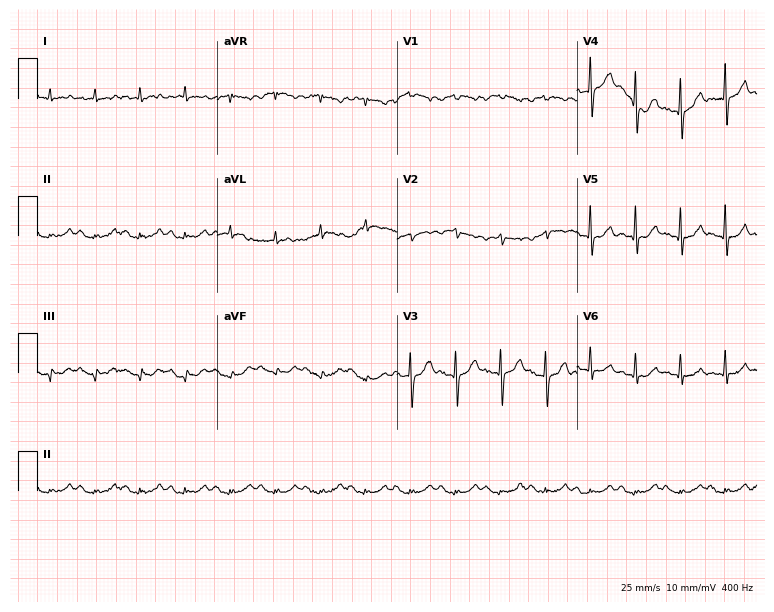
12-lead ECG from a 78-year-old male patient (7.3-second recording at 400 Hz). No first-degree AV block, right bundle branch block (RBBB), left bundle branch block (LBBB), sinus bradycardia, atrial fibrillation (AF) or sinus tachycardia recorded for this tracing. Other findings, if any, are not listed.